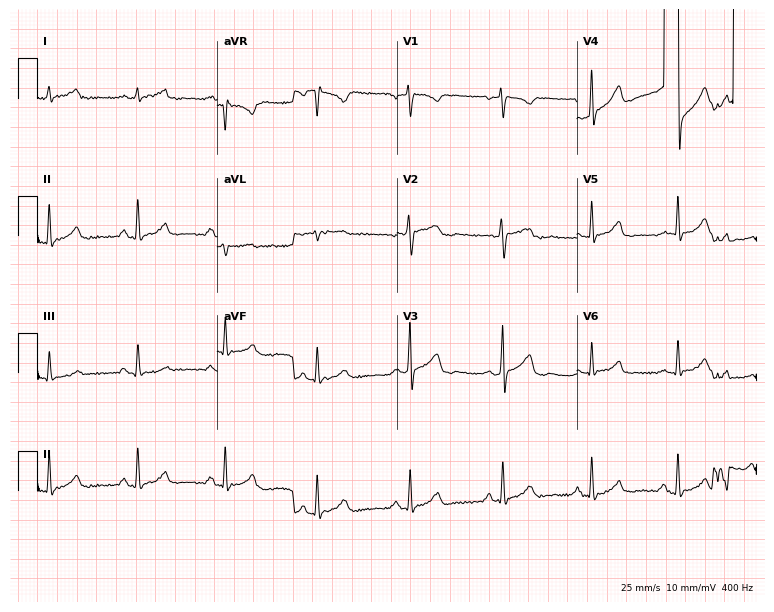
12-lead ECG from a female, 39 years old. Screened for six findings — first-degree AV block, right bundle branch block (RBBB), left bundle branch block (LBBB), sinus bradycardia, atrial fibrillation (AF), sinus tachycardia — none is recorded.